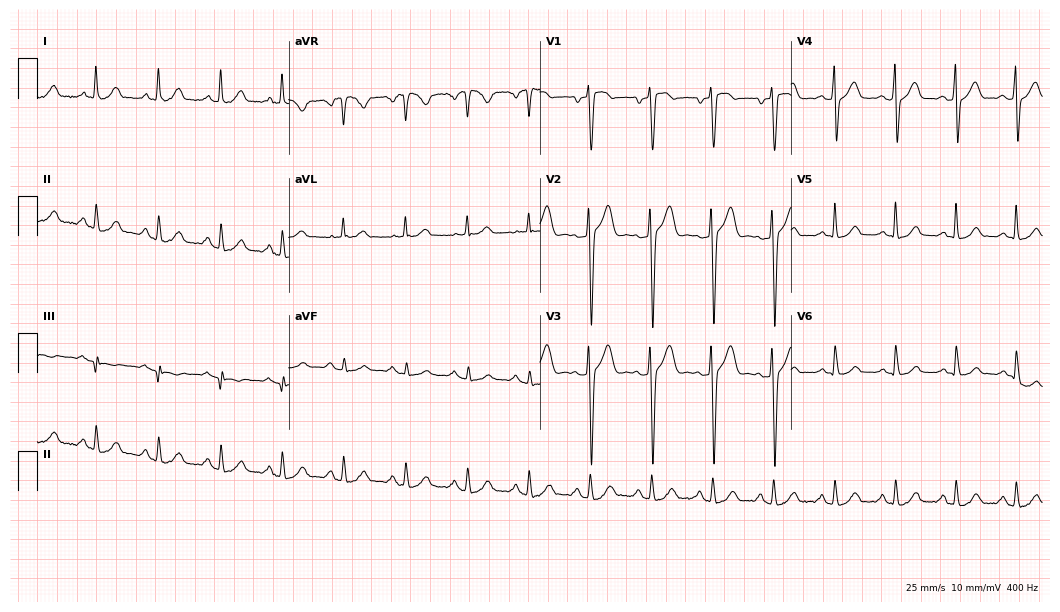
Electrocardiogram, a 31-year-old male. Of the six screened findings (first-degree AV block, right bundle branch block (RBBB), left bundle branch block (LBBB), sinus bradycardia, atrial fibrillation (AF), sinus tachycardia), none is recorded. Other findings, if any, are not listed.